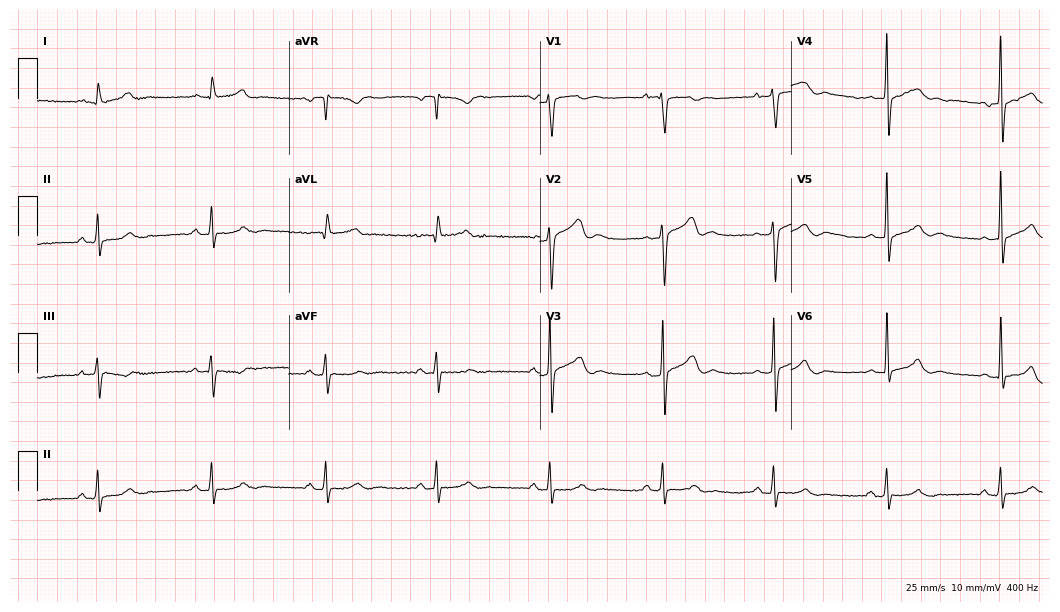
12-lead ECG (10.2-second recording at 400 Hz) from a 56-year-old man. Screened for six findings — first-degree AV block, right bundle branch block, left bundle branch block, sinus bradycardia, atrial fibrillation, sinus tachycardia — none is recorded.